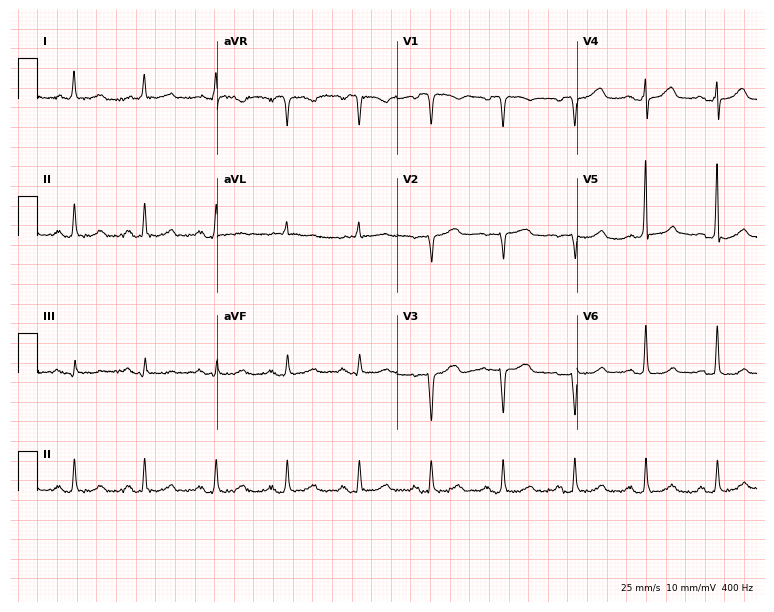
Resting 12-lead electrocardiogram. Patient: a female, 80 years old. None of these six findings is recorded: first-degree AV block, right bundle branch block, left bundle branch block, sinus bradycardia, atrial fibrillation, sinus tachycardia.